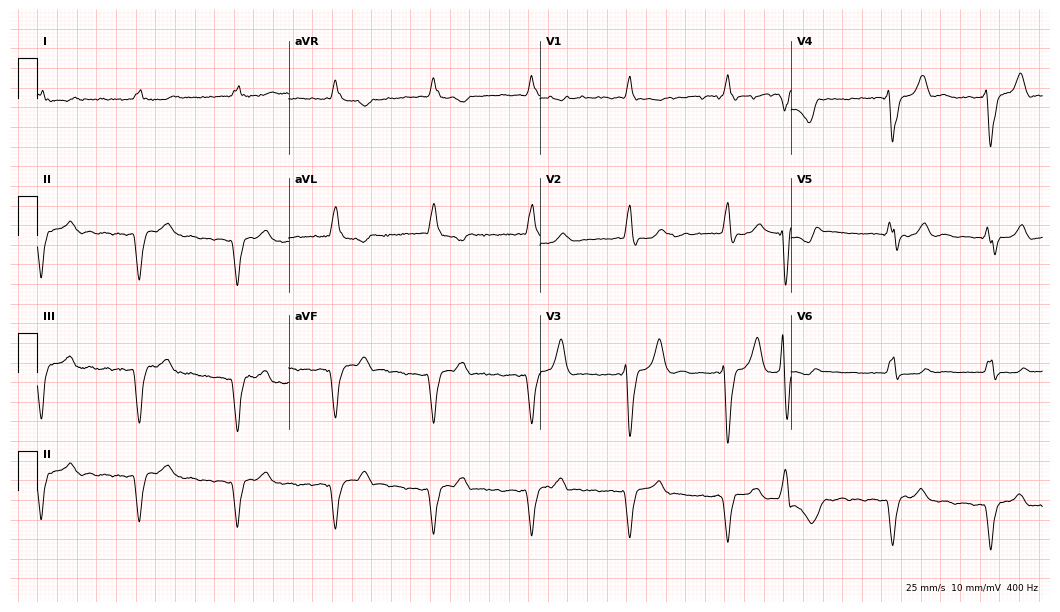
12-lead ECG from a 79-year-old male patient (10.2-second recording at 400 Hz). No first-degree AV block, right bundle branch block, left bundle branch block, sinus bradycardia, atrial fibrillation or sinus tachycardia recorded for this tracing. Findings outside these six are not listed.